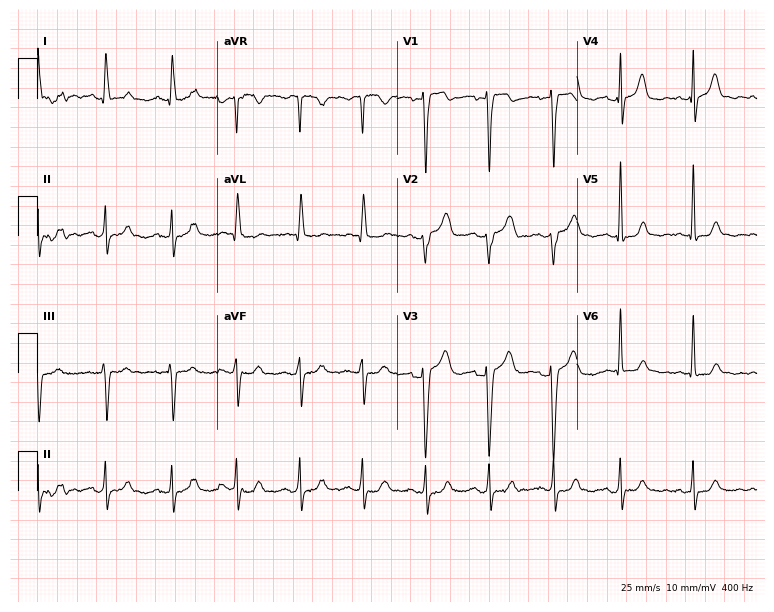
12-lead ECG (7.3-second recording at 400 Hz) from a woman, 69 years old. Labelled as a normal ECG.